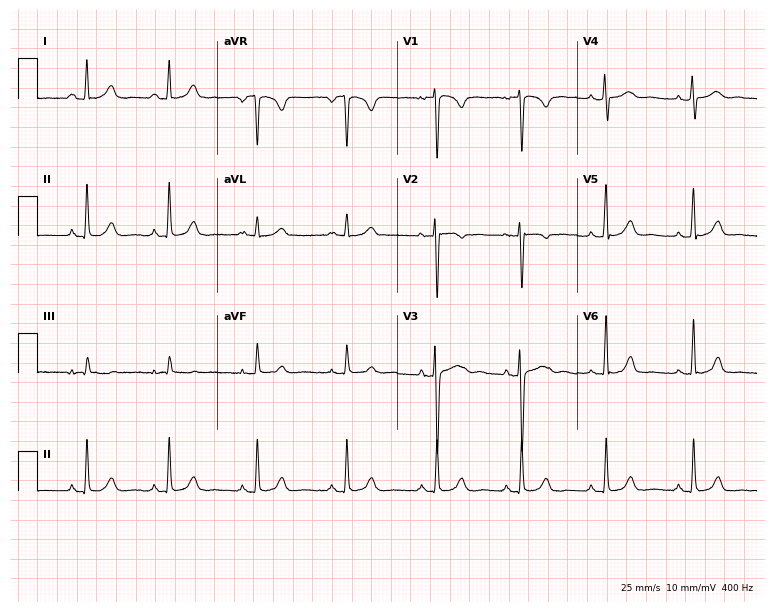
Resting 12-lead electrocardiogram. Patient: a woman, 34 years old. None of these six findings is recorded: first-degree AV block, right bundle branch block, left bundle branch block, sinus bradycardia, atrial fibrillation, sinus tachycardia.